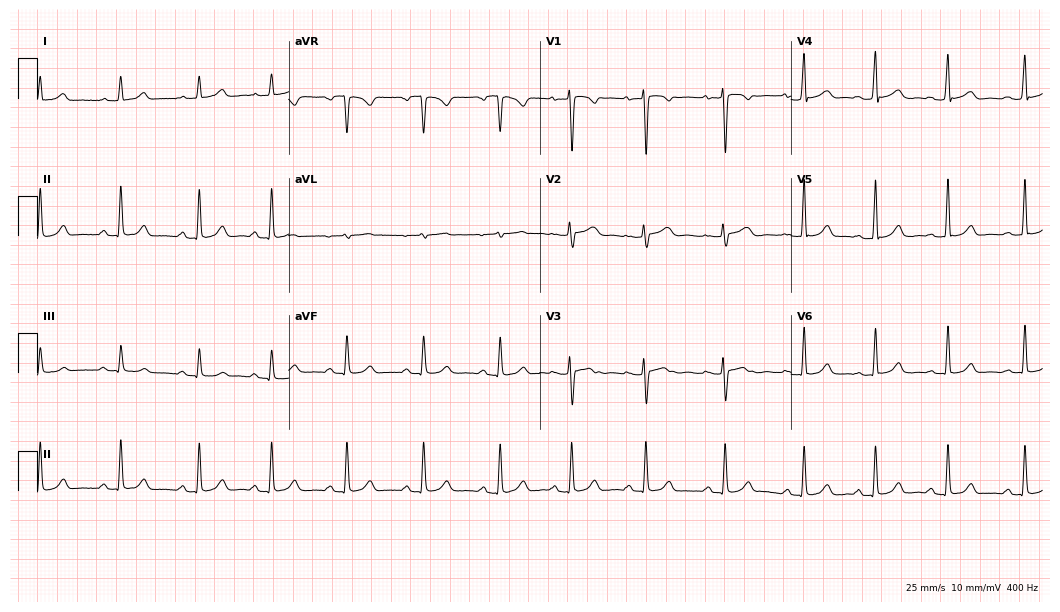
12-lead ECG from a 26-year-old woman. Labelled as a normal ECG.